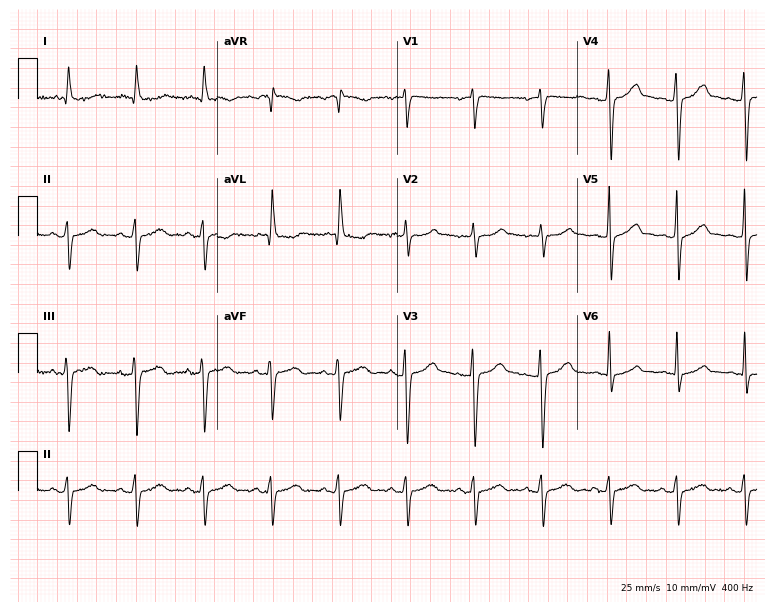
ECG — a 79-year-old female patient. Screened for six findings — first-degree AV block, right bundle branch block, left bundle branch block, sinus bradycardia, atrial fibrillation, sinus tachycardia — none is recorded.